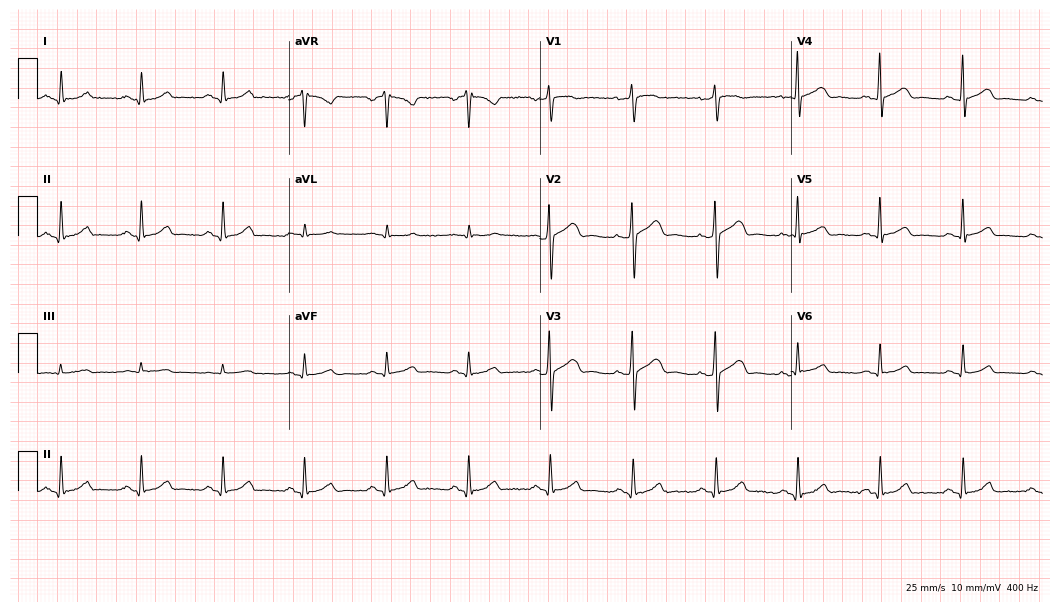
12-lead ECG from a 52-year-old male patient. Labelled as a normal ECG.